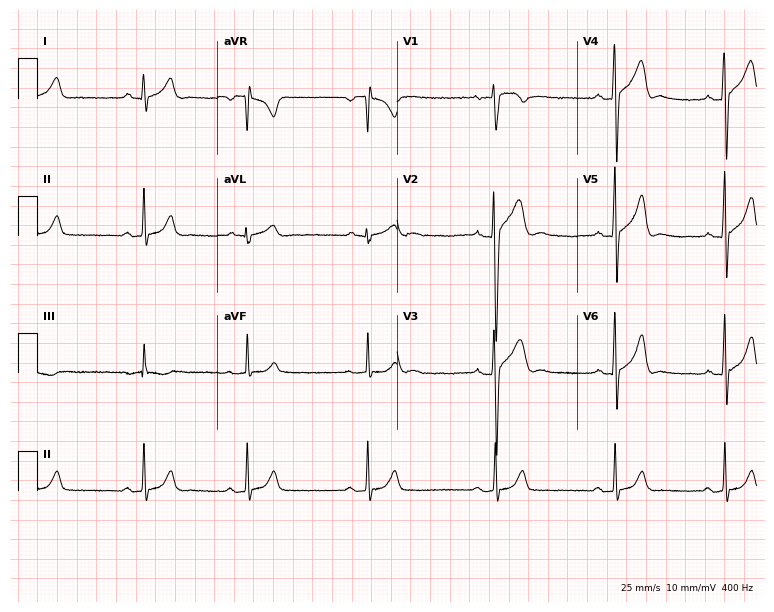
Resting 12-lead electrocardiogram (7.3-second recording at 400 Hz). Patient: a man, 23 years old. None of these six findings is recorded: first-degree AV block, right bundle branch block, left bundle branch block, sinus bradycardia, atrial fibrillation, sinus tachycardia.